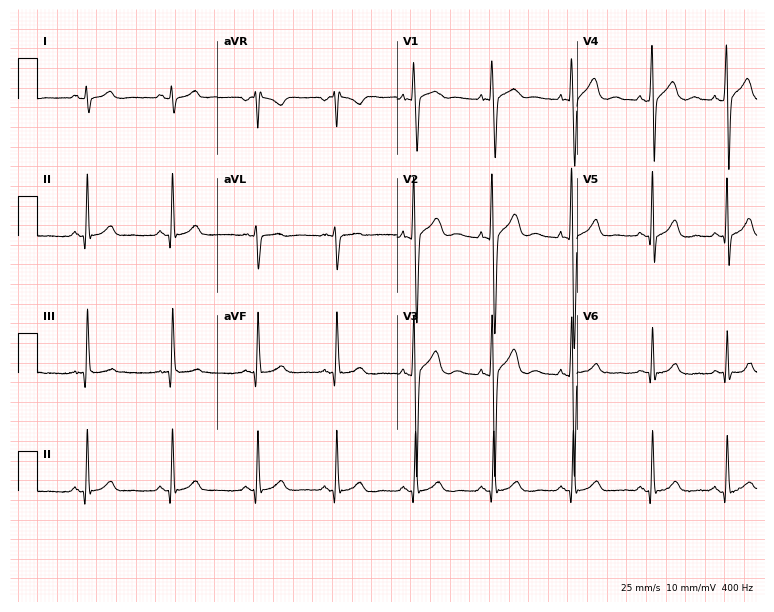
Electrocardiogram (7.3-second recording at 400 Hz), a 22-year-old man. Of the six screened findings (first-degree AV block, right bundle branch block (RBBB), left bundle branch block (LBBB), sinus bradycardia, atrial fibrillation (AF), sinus tachycardia), none is recorded. Findings outside these six are not listed.